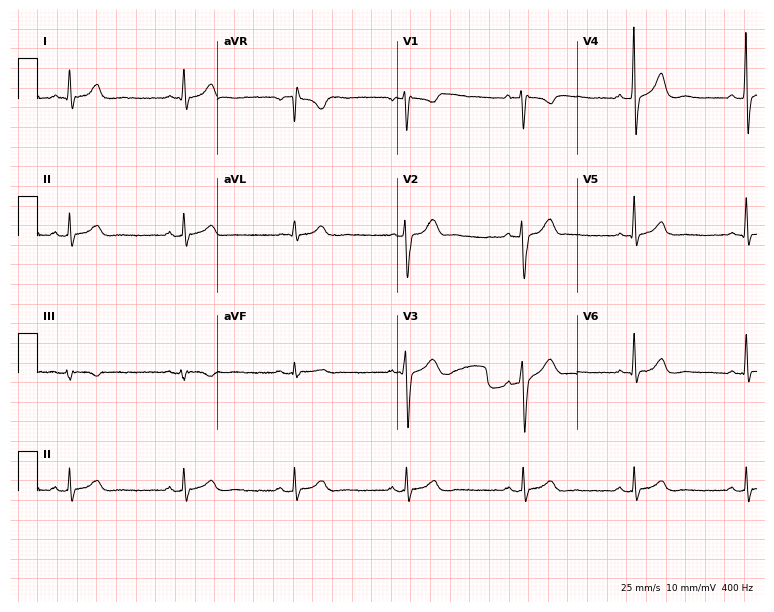
12-lead ECG (7.3-second recording at 400 Hz) from a 45-year-old male. Screened for six findings — first-degree AV block, right bundle branch block (RBBB), left bundle branch block (LBBB), sinus bradycardia, atrial fibrillation (AF), sinus tachycardia — none is recorded. Other findings, if any, are not listed.